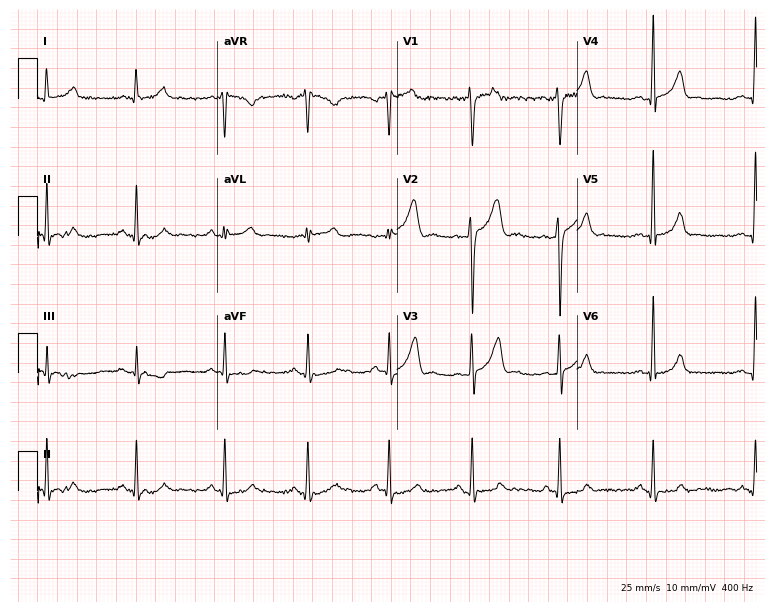
12-lead ECG from a man, 30 years old. Labelled as a normal ECG.